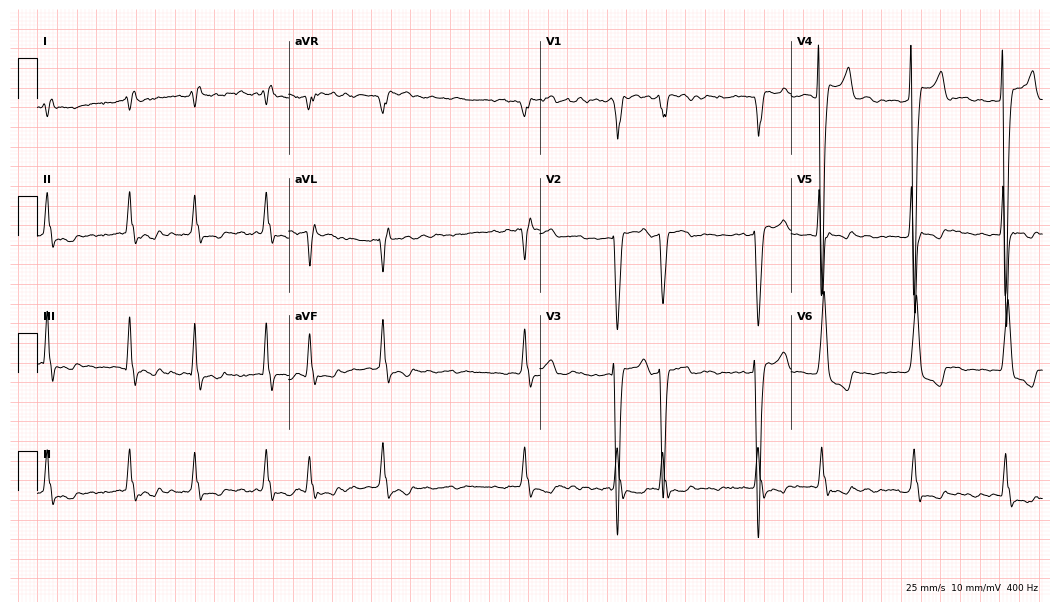
12-lead ECG from a 30-year-old man. Findings include left bundle branch block, atrial fibrillation.